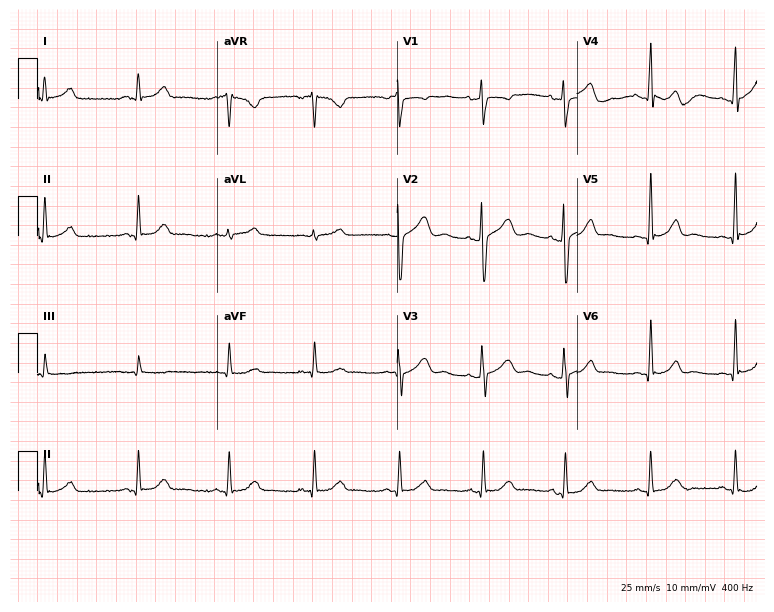
12-lead ECG (7.3-second recording at 400 Hz) from a male, 27 years old. Labelled as a normal ECG.